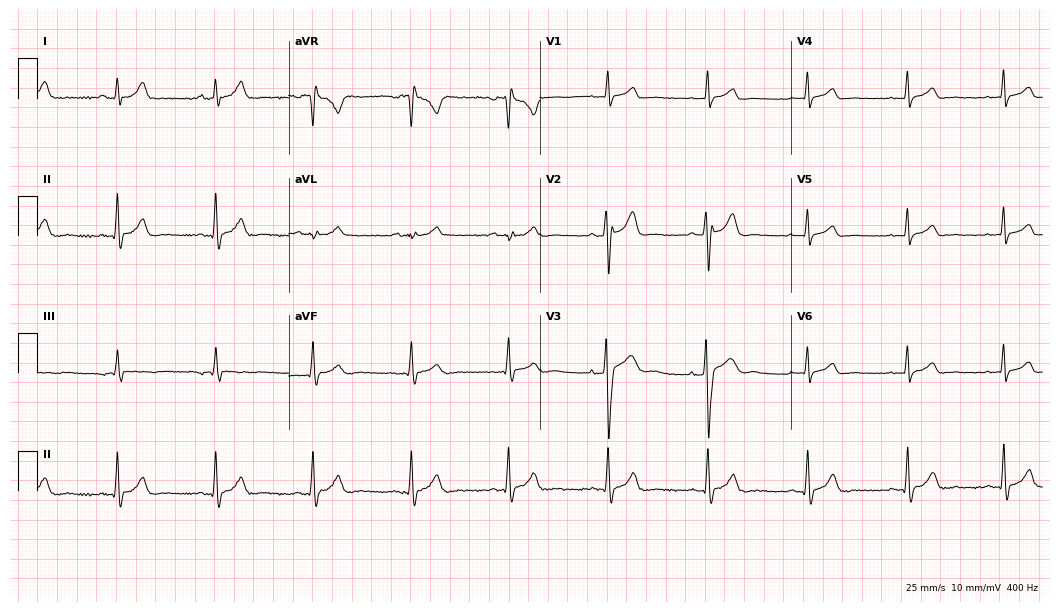
12-lead ECG from a 31-year-old male. No first-degree AV block, right bundle branch block (RBBB), left bundle branch block (LBBB), sinus bradycardia, atrial fibrillation (AF) or sinus tachycardia recorded for this tracing. Only these six findings were labelled.